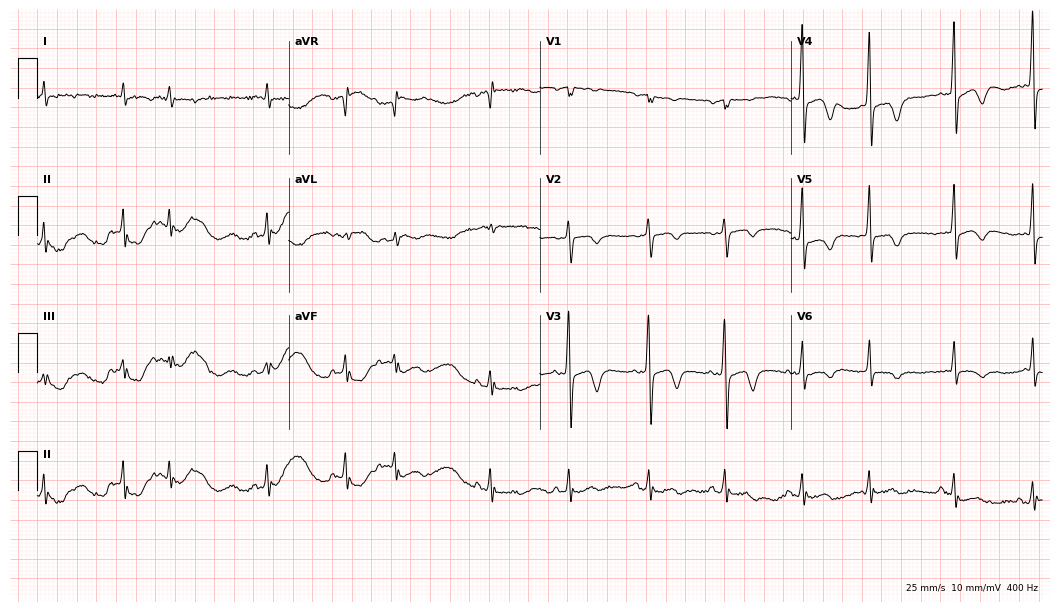
Resting 12-lead electrocardiogram. Patient: an 84-year-old man. Read as a normal ECG.